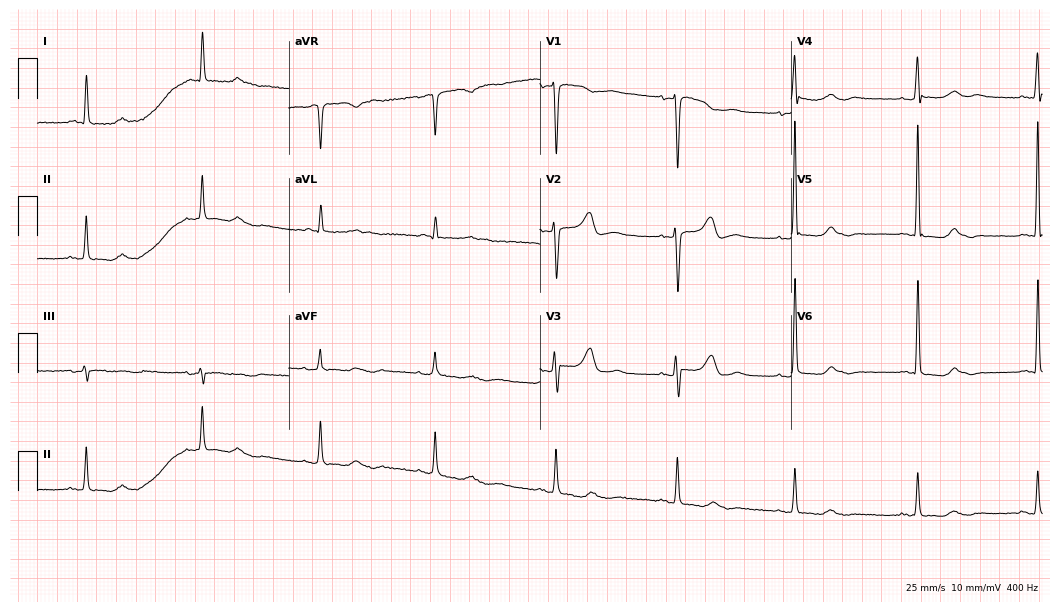
Resting 12-lead electrocardiogram. Patient: a woman, 73 years old. None of these six findings is recorded: first-degree AV block, right bundle branch block, left bundle branch block, sinus bradycardia, atrial fibrillation, sinus tachycardia.